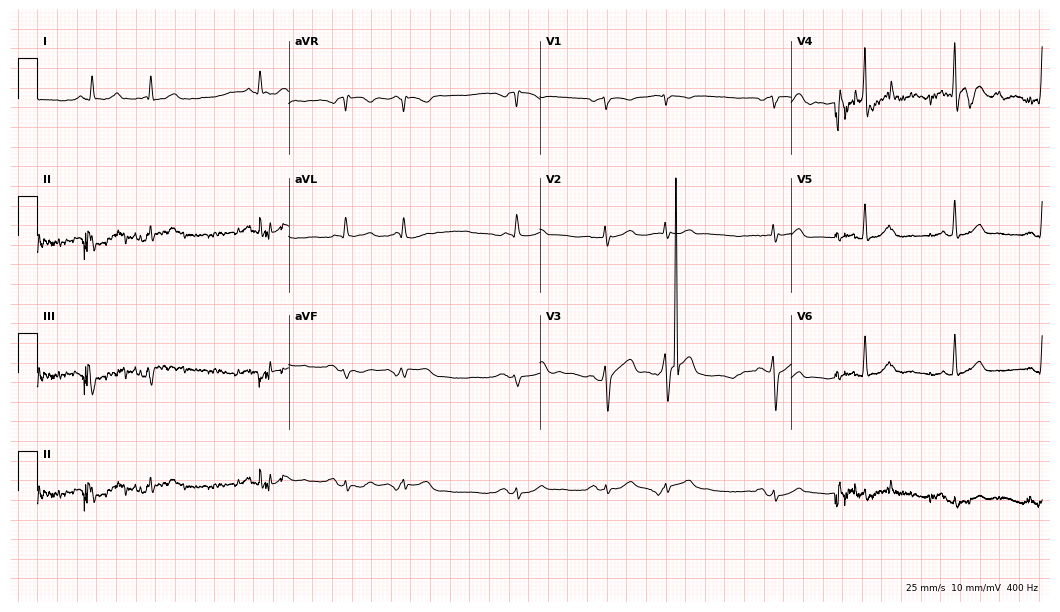
Electrocardiogram (10.2-second recording at 400 Hz), a 64-year-old man. Of the six screened findings (first-degree AV block, right bundle branch block, left bundle branch block, sinus bradycardia, atrial fibrillation, sinus tachycardia), none is recorded. Other findings, if any, are not listed.